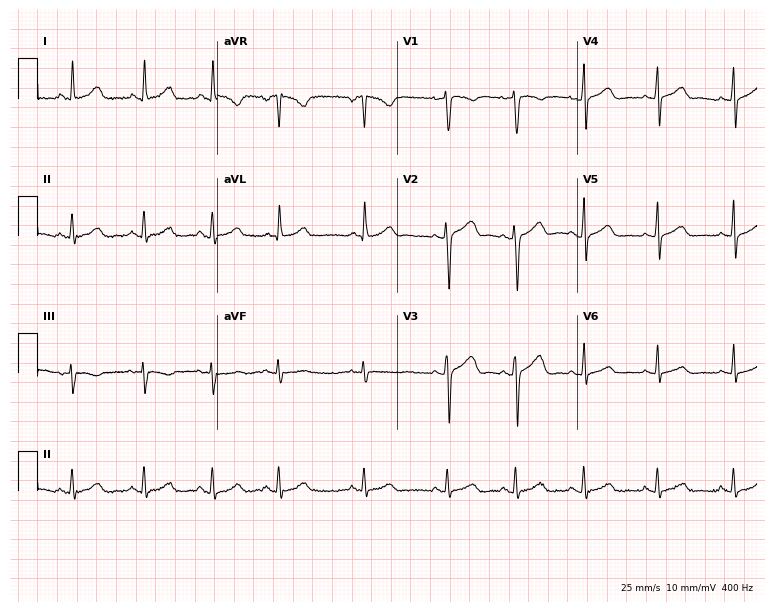
Electrocardiogram, a female patient, 32 years old. Overall reading on record: normal ECG.